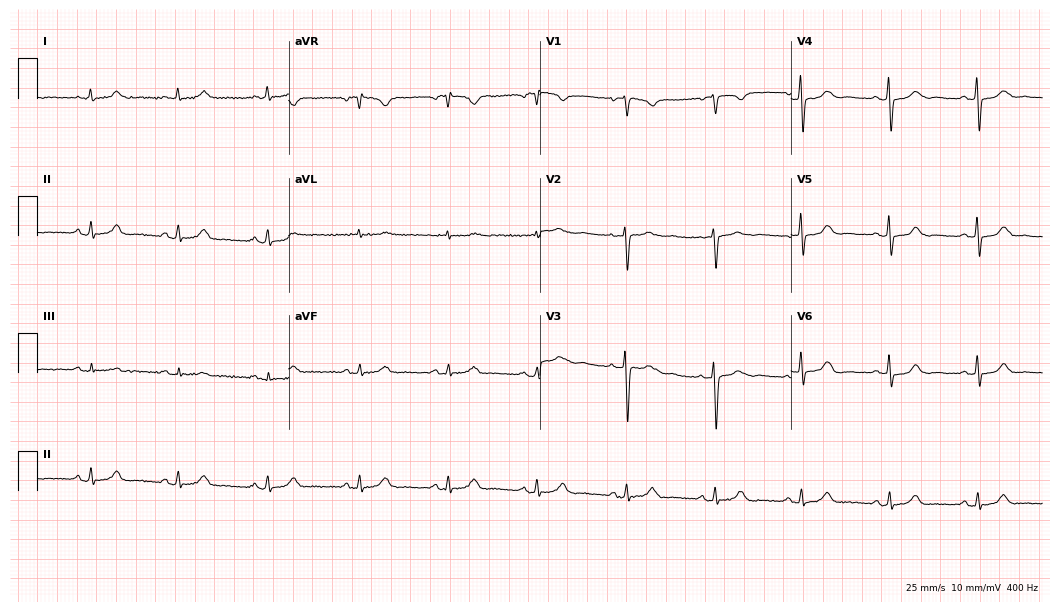
Standard 12-lead ECG recorded from a woman, 42 years old. Read as a normal ECG.